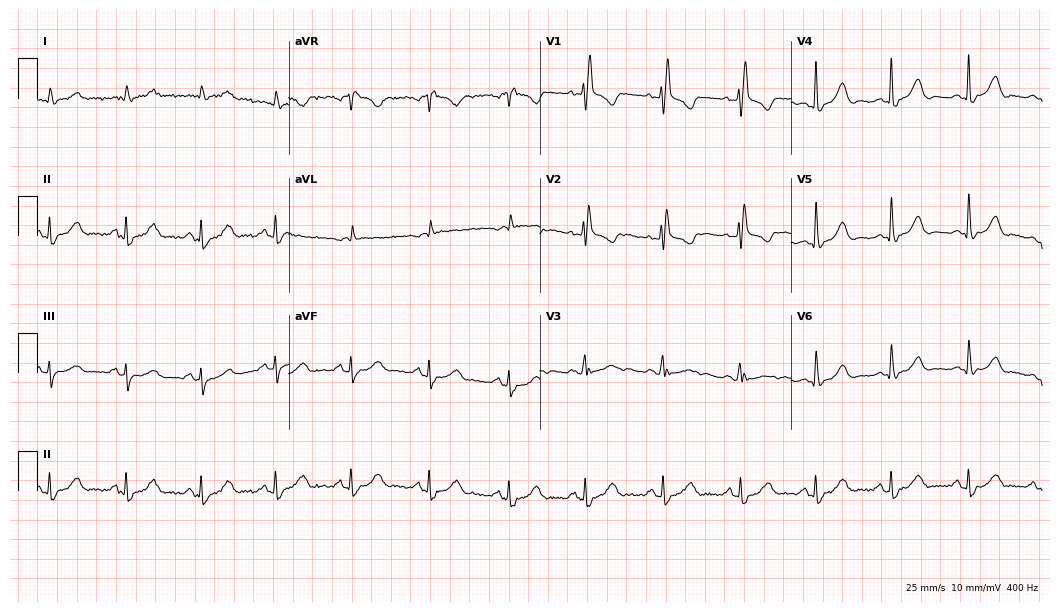
Standard 12-lead ECG recorded from a female, 82 years old (10.2-second recording at 400 Hz). None of these six findings is recorded: first-degree AV block, right bundle branch block, left bundle branch block, sinus bradycardia, atrial fibrillation, sinus tachycardia.